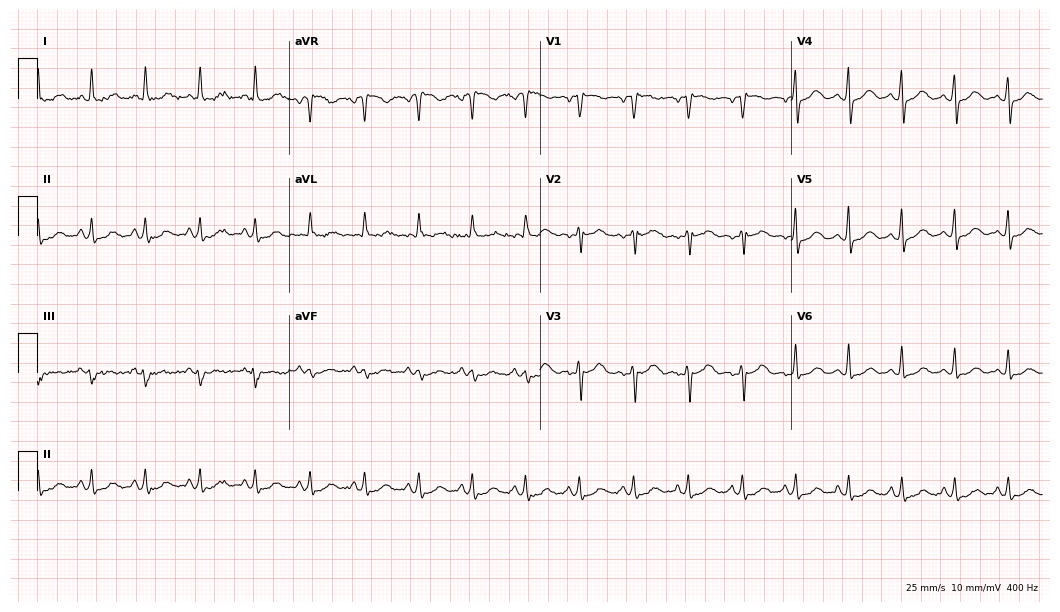
Electrocardiogram, a female, 49 years old. Of the six screened findings (first-degree AV block, right bundle branch block, left bundle branch block, sinus bradycardia, atrial fibrillation, sinus tachycardia), none is recorded.